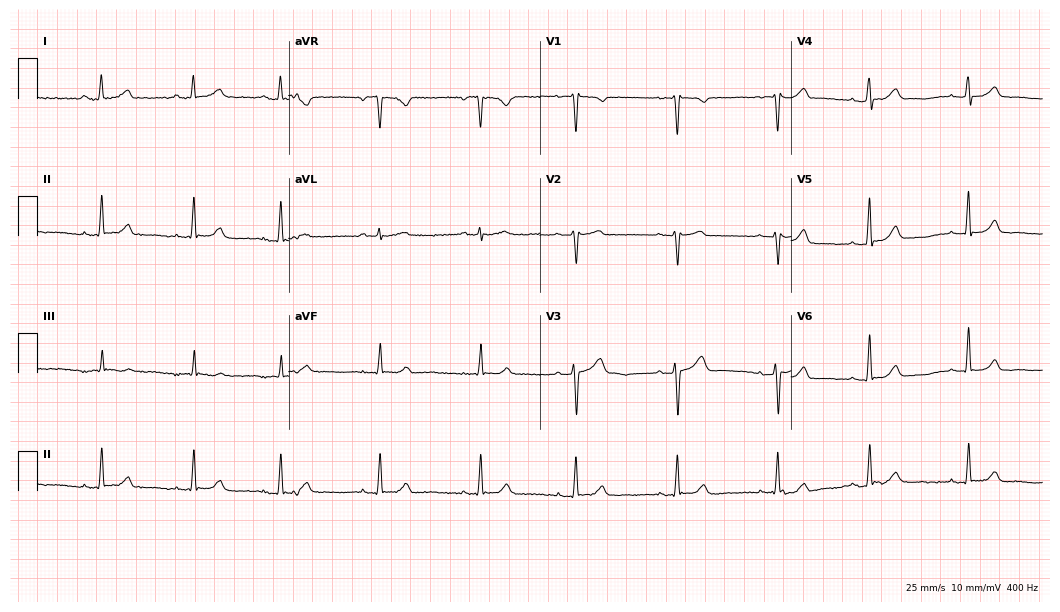
ECG — a woman, 52 years old. Labelled as a normal ECG.